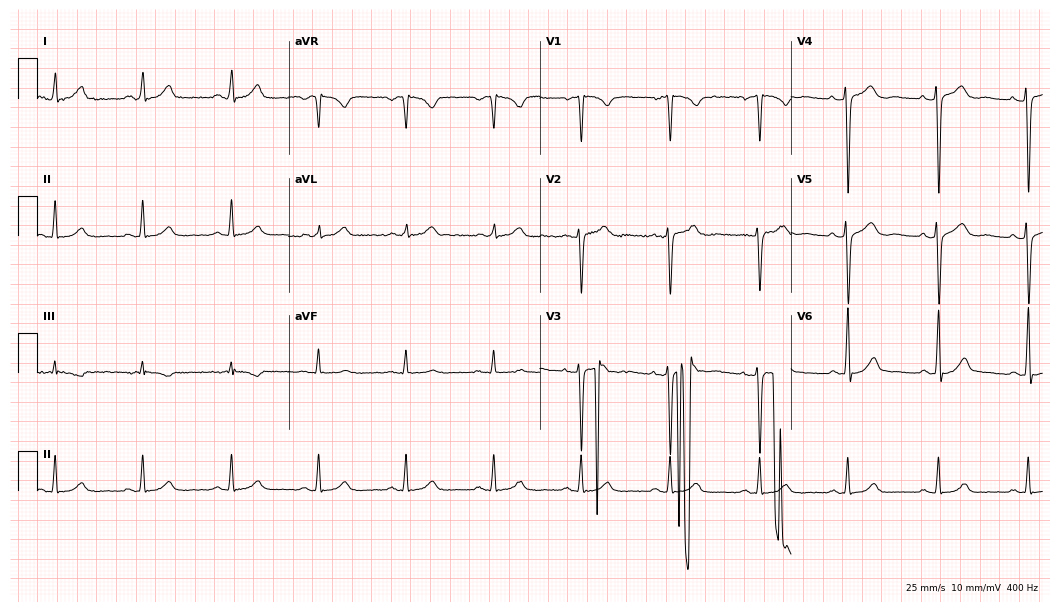
ECG (10.2-second recording at 400 Hz) — a woman, 36 years old. Screened for six findings — first-degree AV block, right bundle branch block, left bundle branch block, sinus bradycardia, atrial fibrillation, sinus tachycardia — none is recorded. Findings outside these six are not listed.